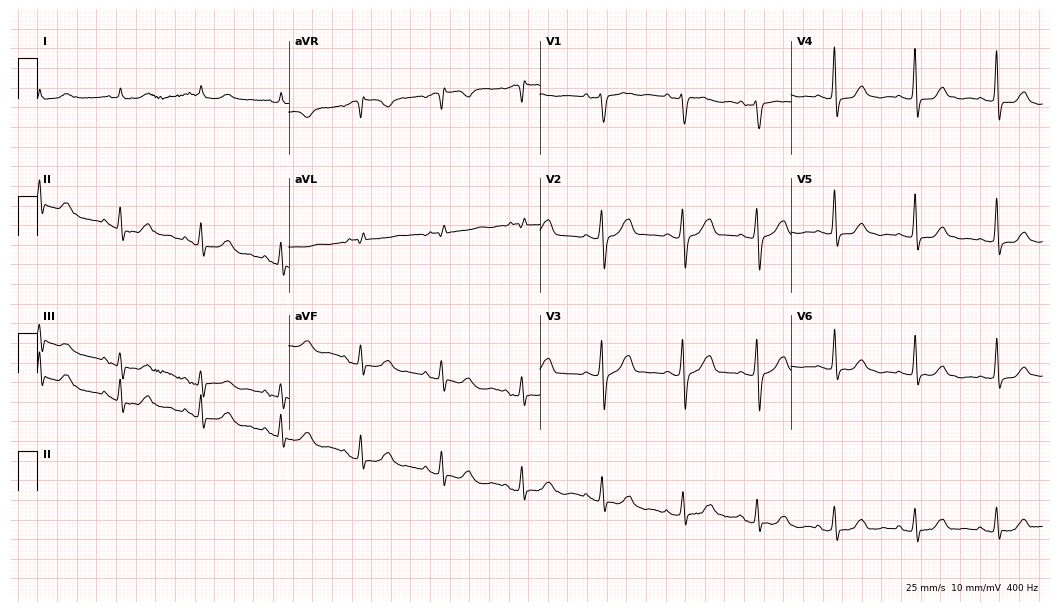
Electrocardiogram, an 80-year-old female patient. Of the six screened findings (first-degree AV block, right bundle branch block, left bundle branch block, sinus bradycardia, atrial fibrillation, sinus tachycardia), none is recorded. Other findings, if any, are not listed.